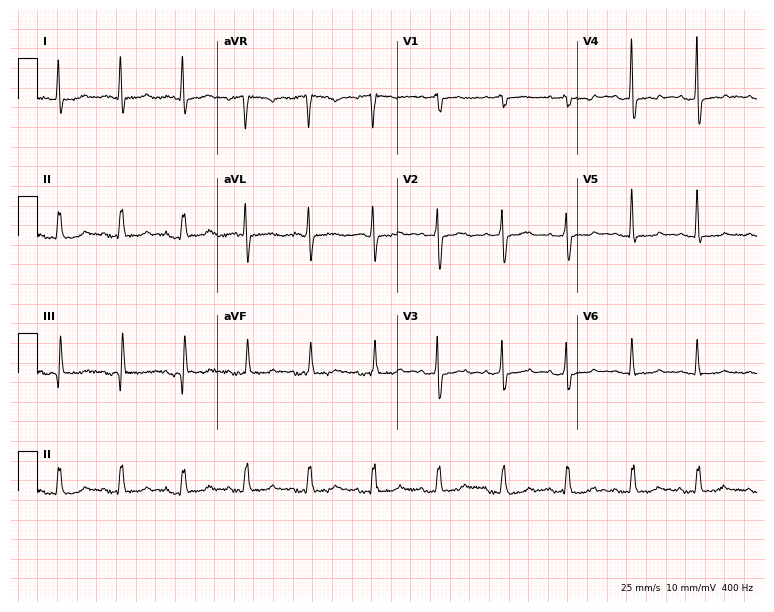
12-lead ECG from a female, 73 years old. Screened for six findings — first-degree AV block, right bundle branch block, left bundle branch block, sinus bradycardia, atrial fibrillation, sinus tachycardia — none is recorded.